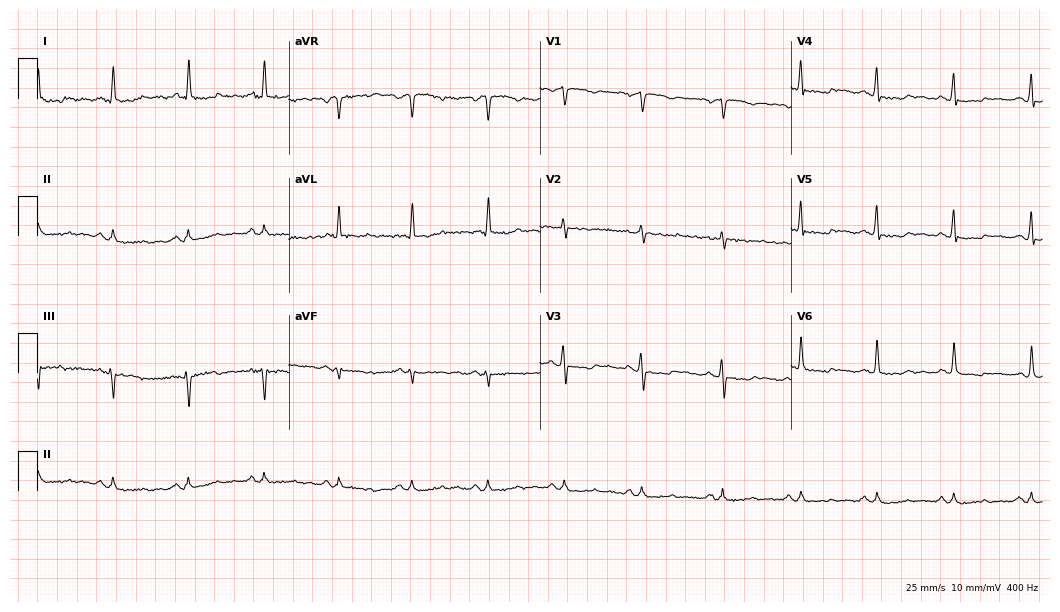
12-lead ECG (10.2-second recording at 400 Hz) from a woman, 61 years old. Labelled as a normal ECG.